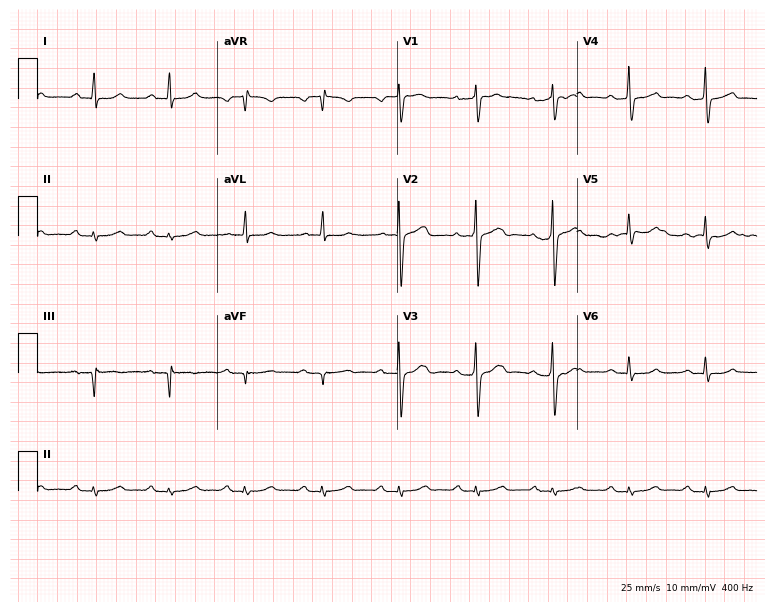
12-lead ECG from a 67-year-old male patient. Recorded interpretation: within normal limits.